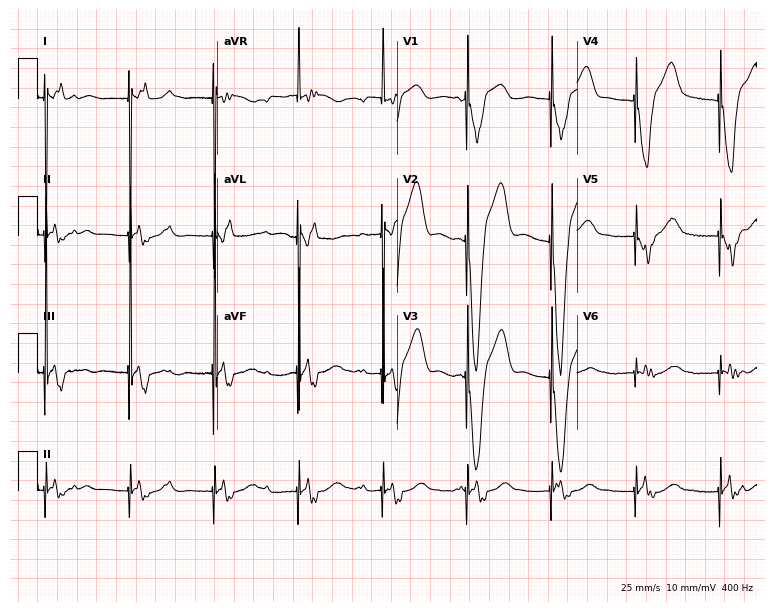
Electrocardiogram, an 83-year-old male patient. Of the six screened findings (first-degree AV block, right bundle branch block, left bundle branch block, sinus bradycardia, atrial fibrillation, sinus tachycardia), none is recorded. Other findings, if any, are not listed.